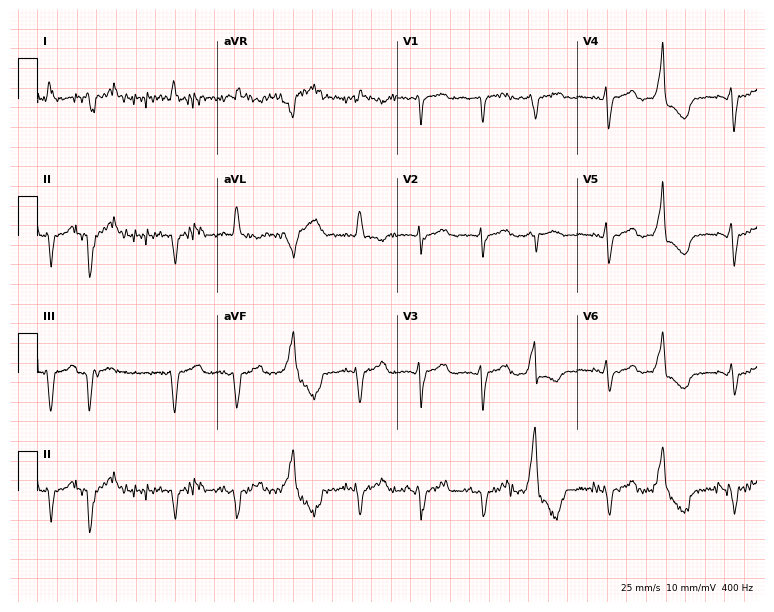
ECG (7.3-second recording at 400 Hz) — a man, 81 years old. Screened for six findings — first-degree AV block, right bundle branch block, left bundle branch block, sinus bradycardia, atrial fibrillation, sinus tachycardia — none is recorded.